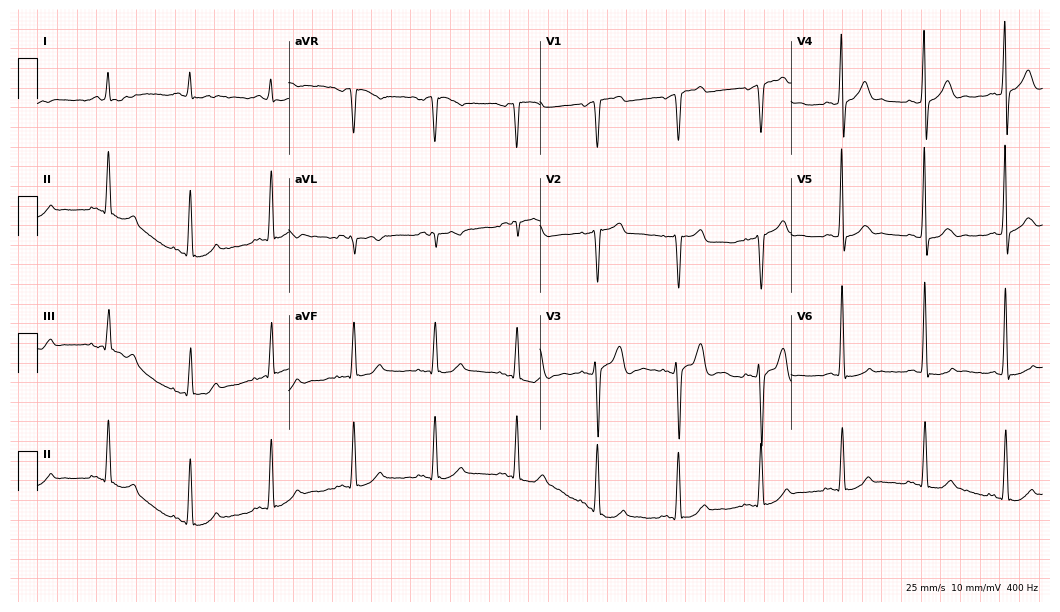
Electrocardiogram (10.2-second recording at 400 Hz), a man, 58 years old. Overall reading on record: normal ECG.